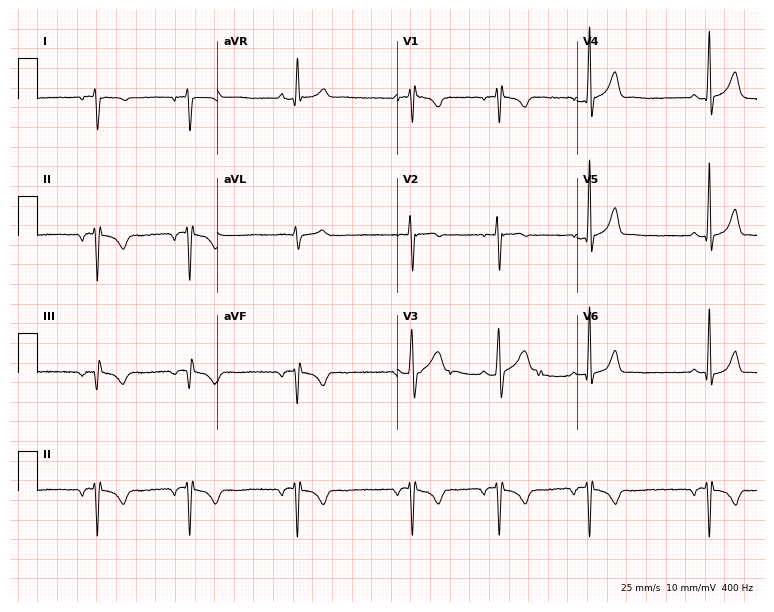
Electrocardiogram, a 31-year-old female patient. Of the six screened findings (first-degree AV block, right bundle branch block, left bundle branch block, sinus bradycardia, atrial fibrillation, sinus tachycardia), none is recorded. Only these six findings were labelled.